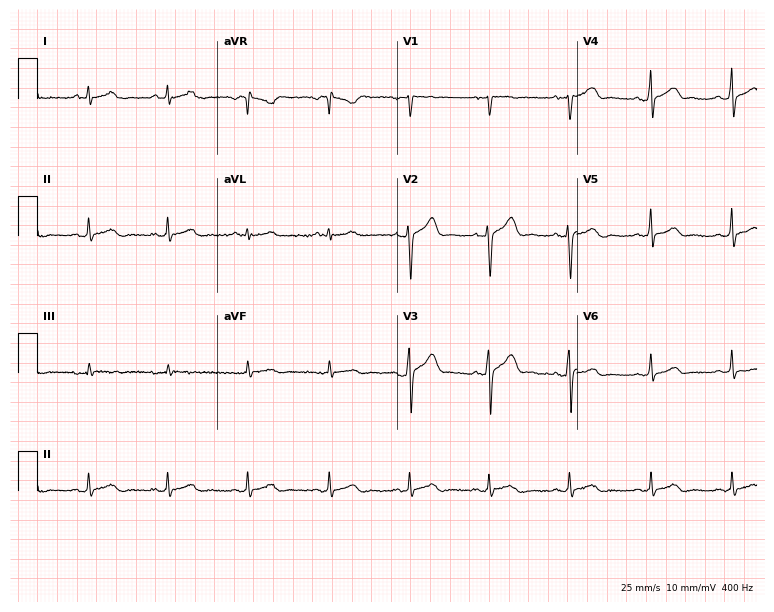
Resting 12-lead electrocardiogram (7.3-second recording at 400 Hz). Patient: a man, 42 years old. Read as a normal ECG.